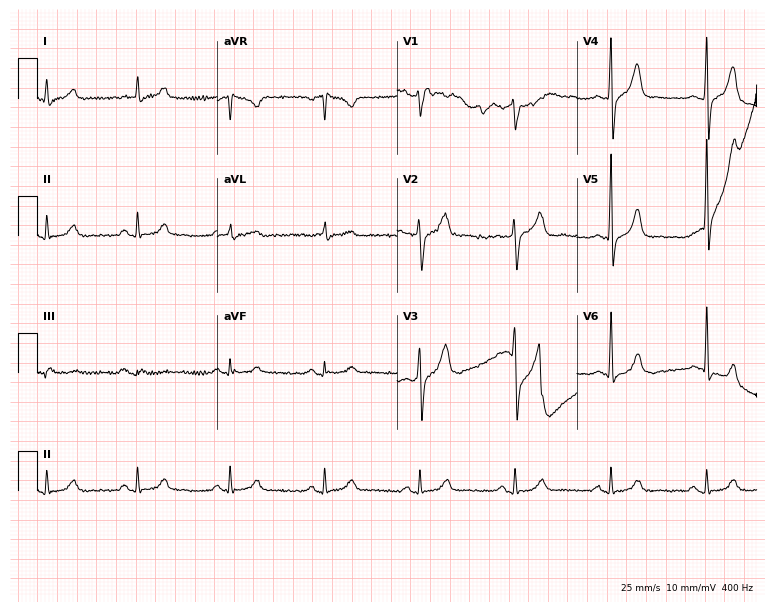
Resting 12-lead electrocardiogram (7.3-second recording at 400 Hz). Patient: a male, 62 years old. Read as a normal ECG.